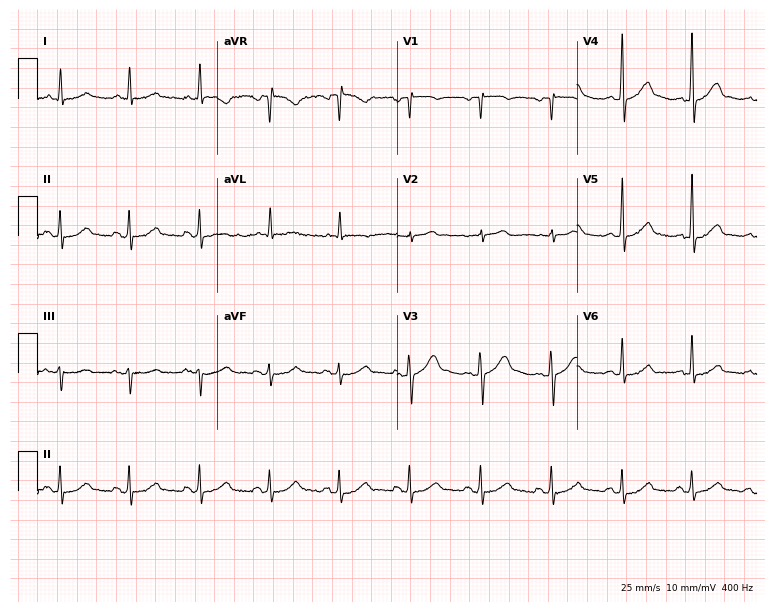
12-lead ECG from a 55-year-old female patient (7.3-second recording at 400 Hz). No first-degree AV block, right bundle branch block, left bundle branch block, sinus bradycardia, atrial fibrillation or sinus tachycardia recorded for this tracing. Other findings, if any, are not listed.